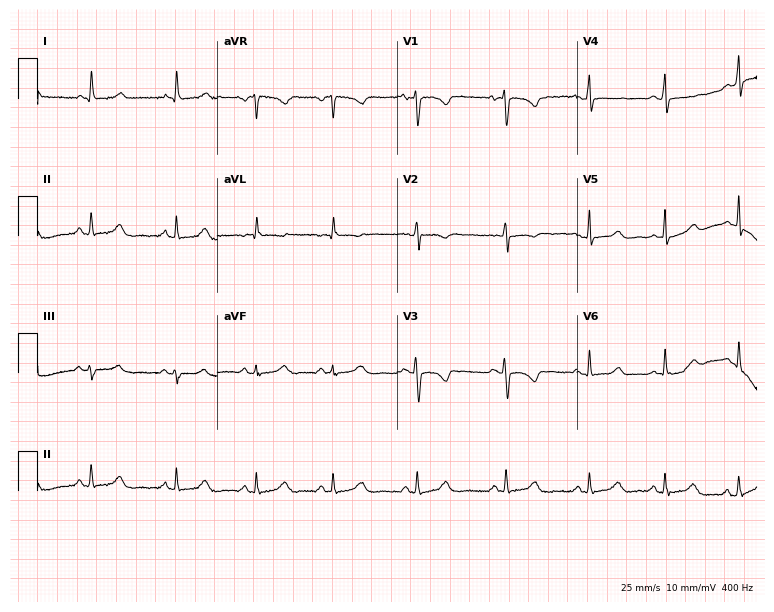
Standard 12-lead ECG recorded from a female patient, 21 years old (7.3-second recording at 400 Hz). None of these six findings is recorded: first-degree AV block, right bundle branch block, left bundle branch block, sinus bradycardia, atrial fibrillation, sinus tachycardia. Only these six findings were labelled.